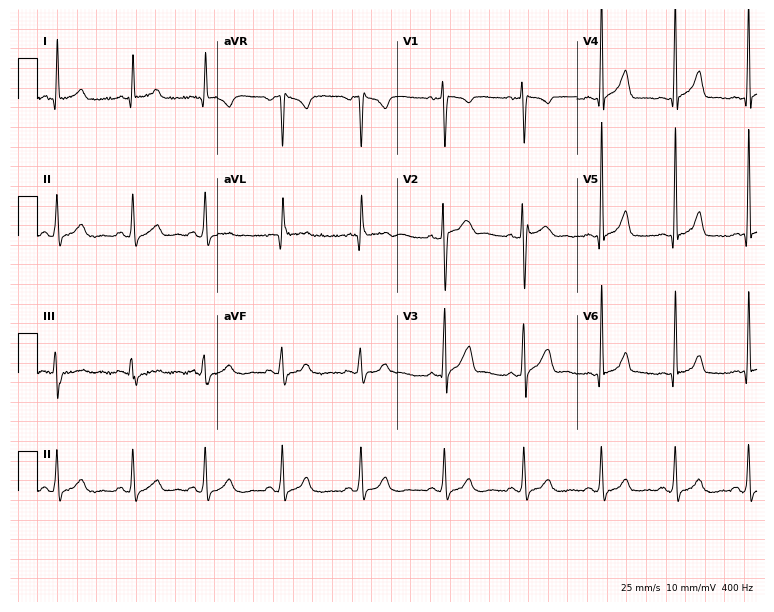
Electrocardiogram (7.3-second recording at 400 Hz), a 45-year-old man. Overall reading on record: normal ECG.